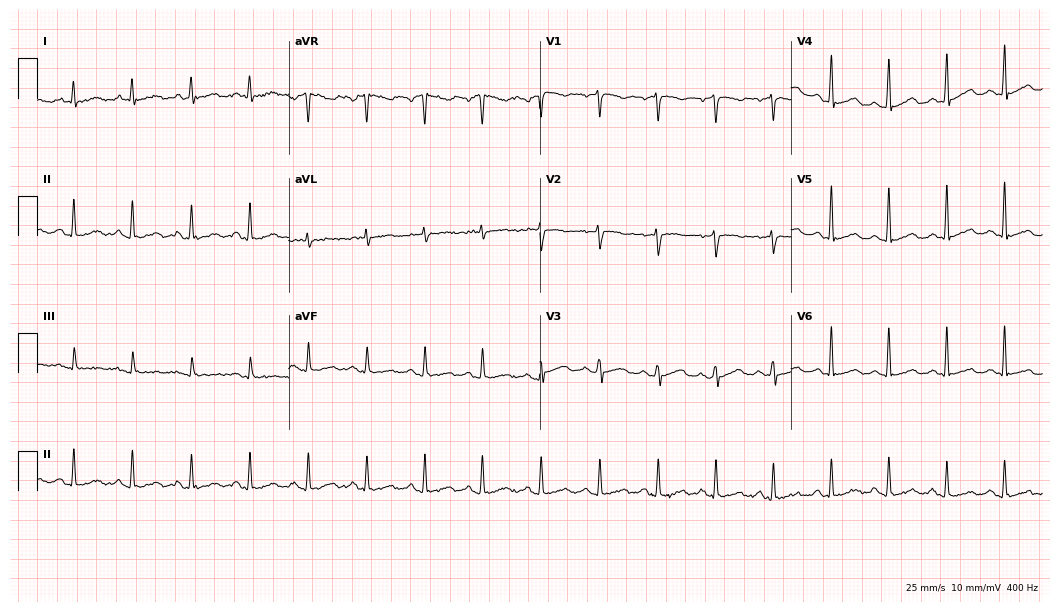
Resting 12-lead electrocardiogram. Patient: a woman, 46 years old. The tracing shows sinus tachycardia (a sinus rate of 100 beats per minute or more).